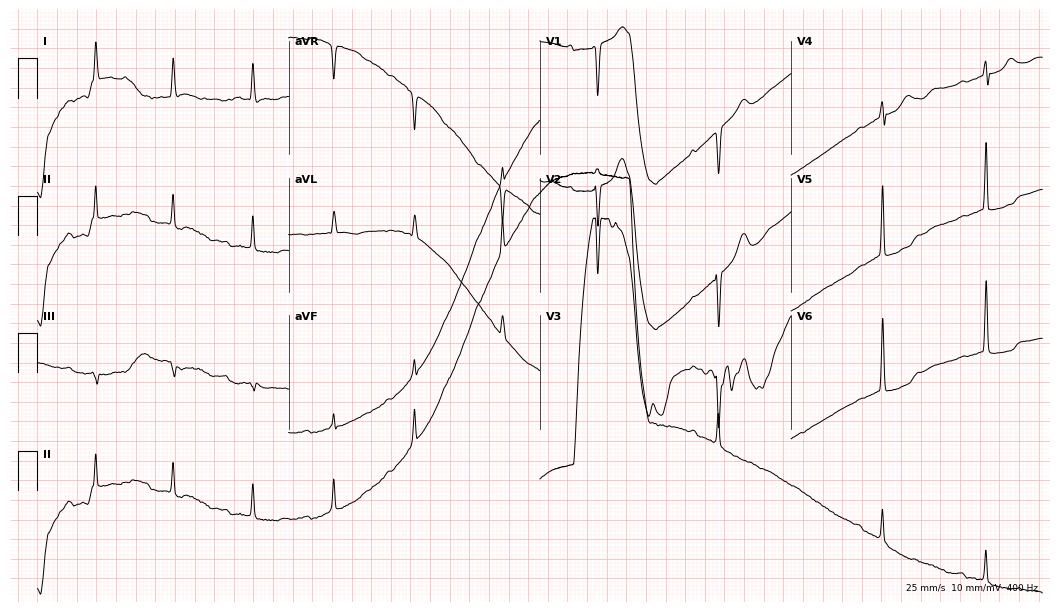
Standard 12-lead ECG recorded from an 81-year-old female (10.2-second recording at 400 Hz). None of these six findings is recorded: first-degree AV block, right bundle branch block, left bundle branch block, sinus bradycardia, atrial fibrillation, sinus tachycardia. Only these six findings were labelled.